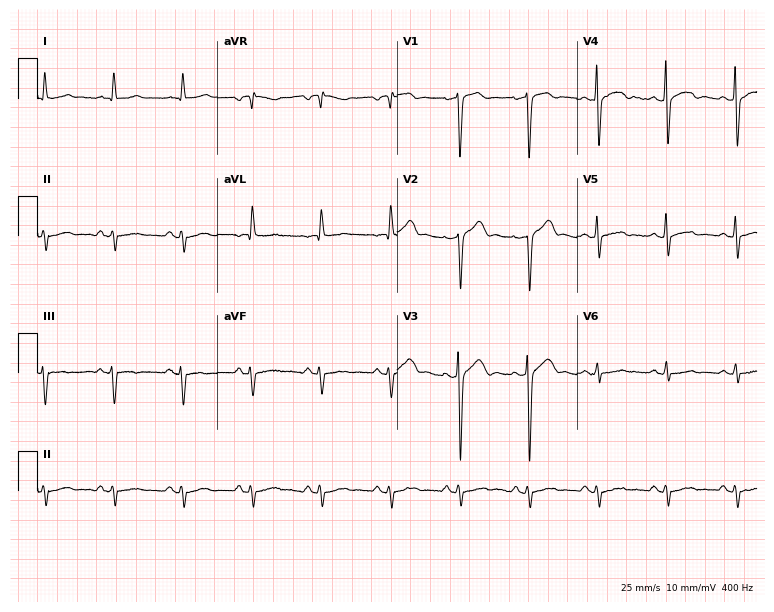
Electrocardiogram, a man, 76 years old. Of the six screened findings (first-degree AV block, right bundle branch block, left bundle branch block, sinus bradycardia, atrial fibrillation, sinus tachycardia), none is recorded. Other findings, if any, are not listed.